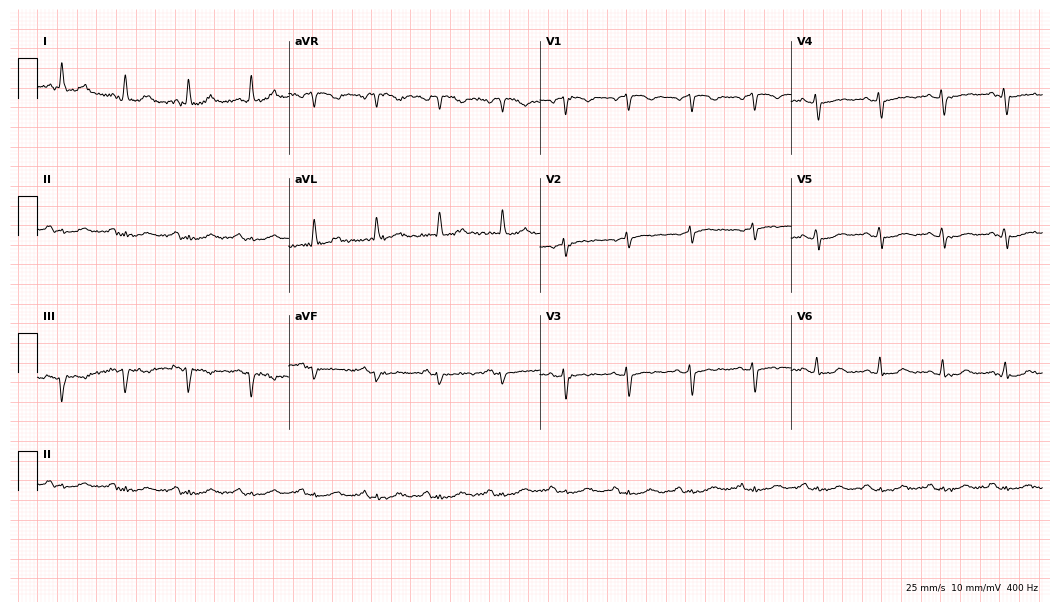
Electrocardiogram, a female patient, 67 years old. Of the six screened findings (first-degree AV block, right bundle branch block, left bundle branch block, sinus bradycardia, atrial fibrillation, sinus tachycardia), none is recorded. Findings outside these six are not listed.